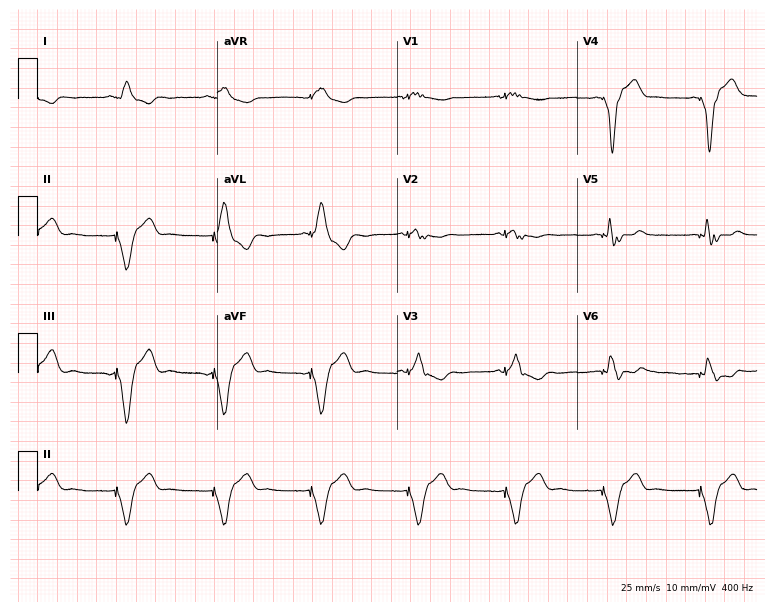
Resting 12-lead electrocardiogram. Patient: a 17-year-old male. None of these six findings is recorded: first-degree AV block, right bundle branch block, left bundle branch block, sinus bradycardia, atrial fibrillation, sinus tachycardia. Findings outside these six are not listed.